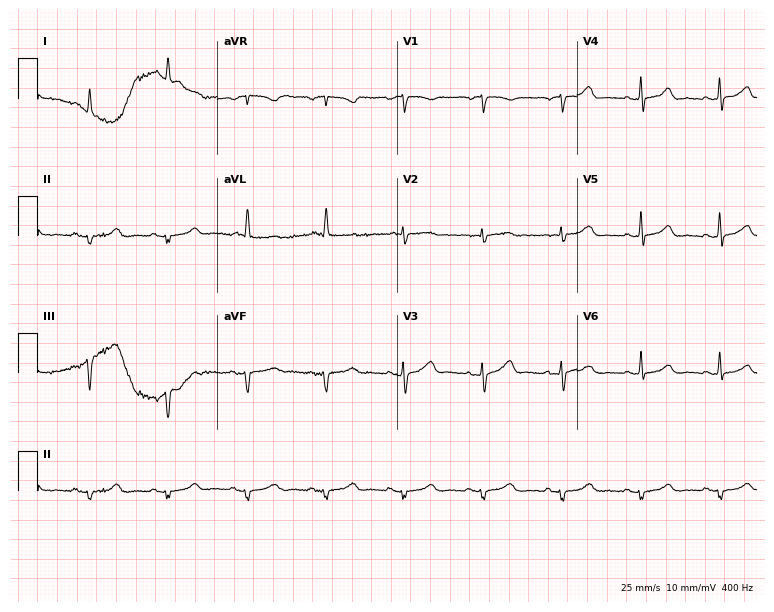
Electrocardiogram, a woman, 75 years old. Of the six screened findings (first-degree AV block, right bundle branch block (RBBB), left bundle branch block (LBBB), sinus bradycardia, atrial fibrillation (AF), sinus tachycardia), none is recorded.